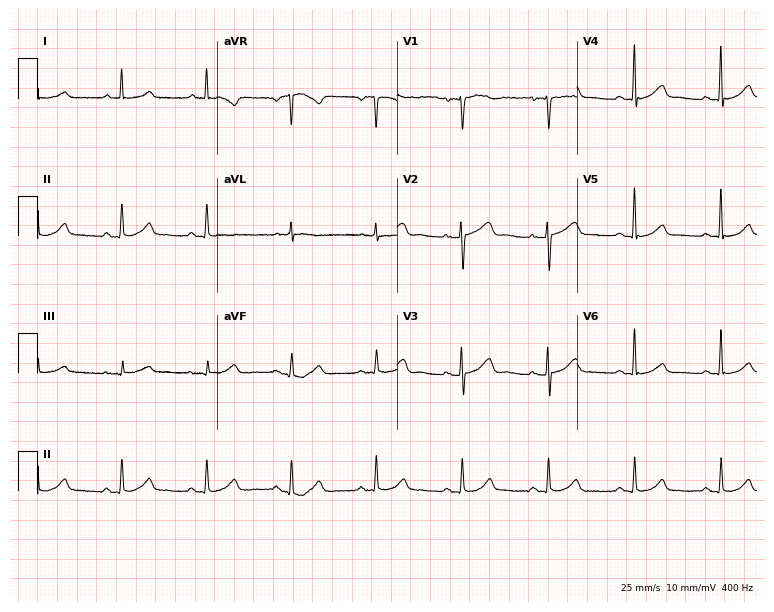
Resting 12-lead electrocardiogram (7.3-second recording at 400 Hz). Patient: a 70-year-old female. Read as a normal ECG.